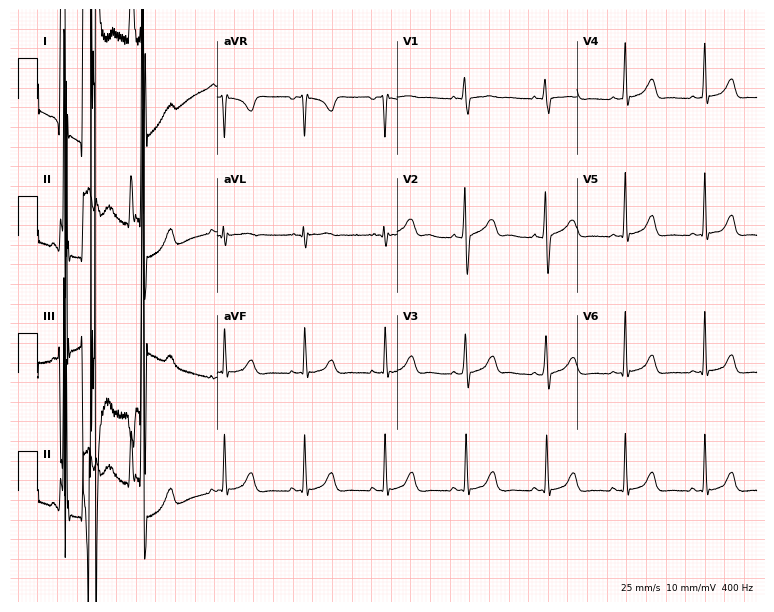
12-lead ECG (7.3-second recording at 400 Hz) from a 32-year-old female. Screened for six findings — first-degree AV block, right bundle branch block (RBBB), left bundle branch block (LBBB), sinus bradycardia, atrial fibrillation (AF), sinus tachycardia — none is recorded.